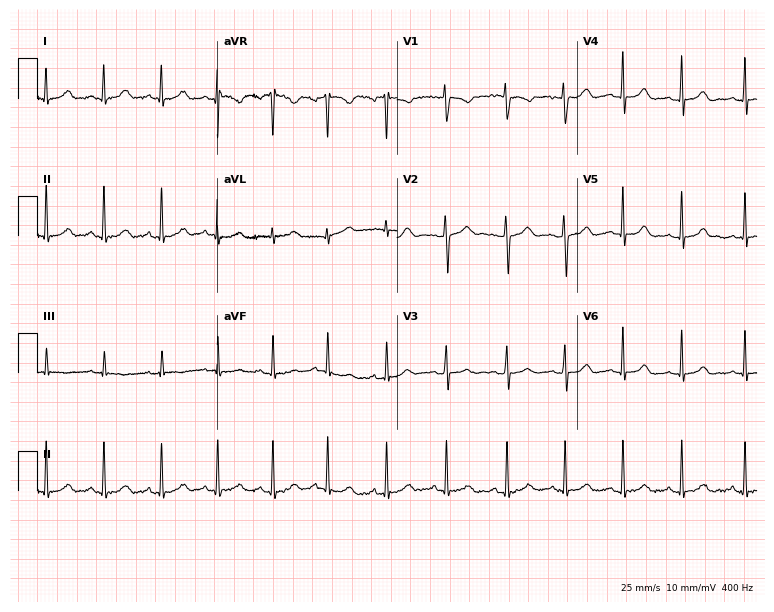
Electrocardiogram (7.3-second recording at 400 Hz), a 19-year-old female. Interpretation includes sinus tachycardia (a sinus rate of 100 beats per minute or more).